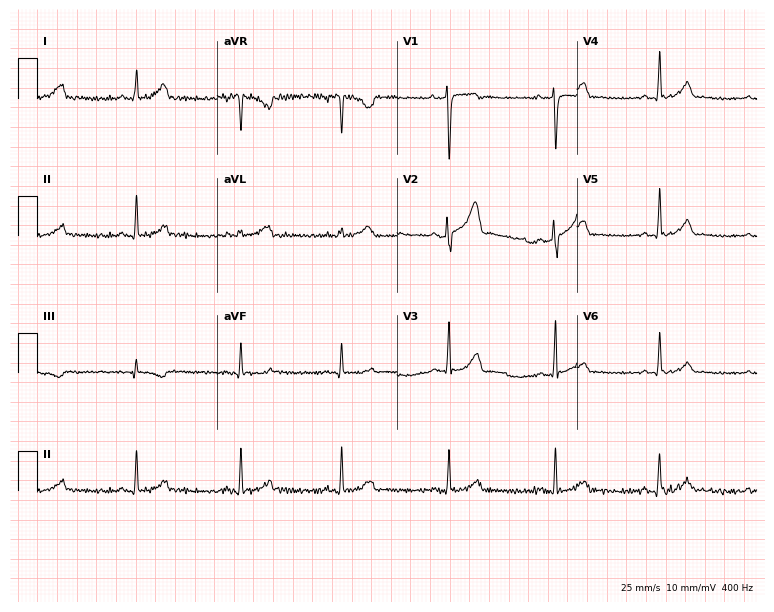
Standard 12-lead ECG recorded from a 32-year-old male. Read as a normal ECG.